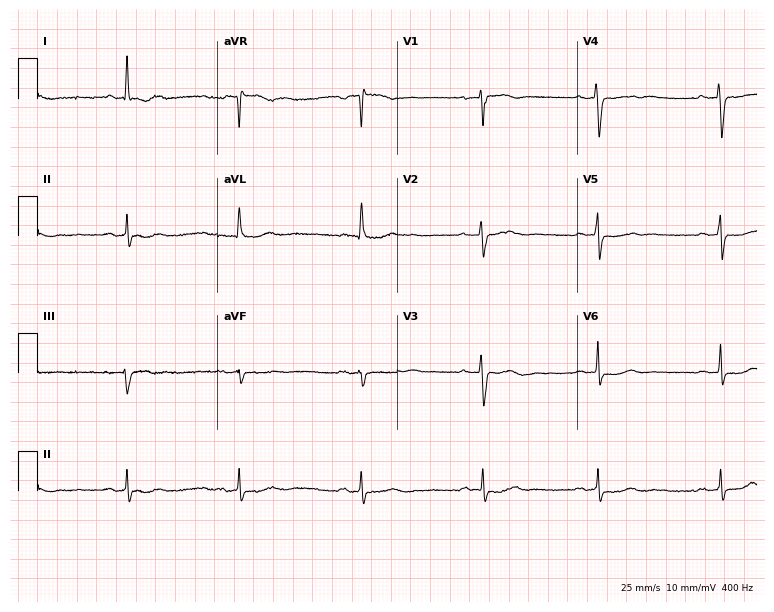
12-lead ECG from a woman, 70 years old. Findings include sinus bradycardia (a sinus rate of 50 beats per minute or less).